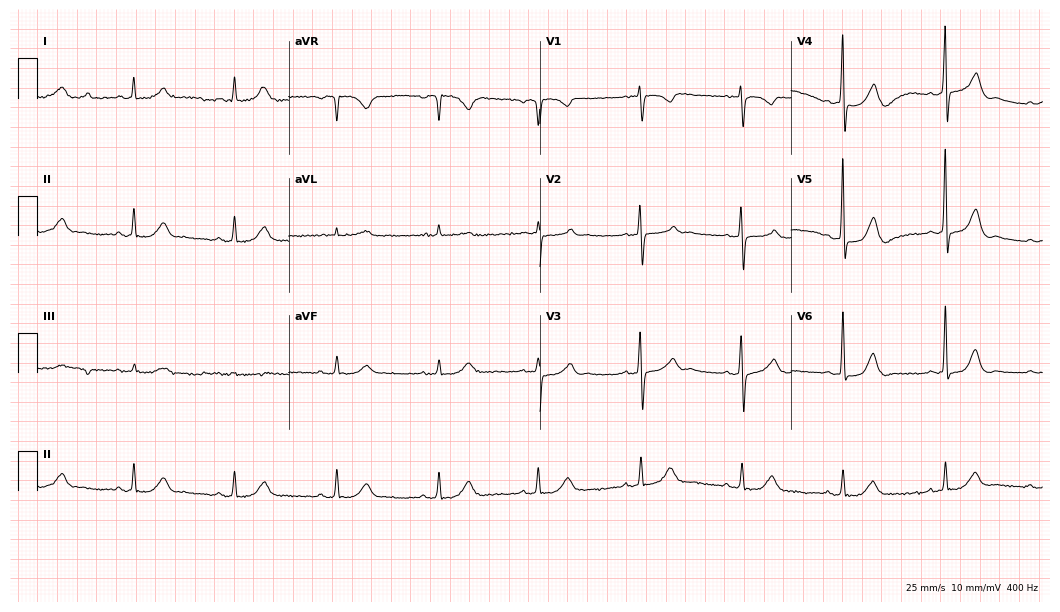
12-lead ECG from a male, 71 years old (10.2-second recording at 400 Hz). Recorded interpretation: within normal limits.